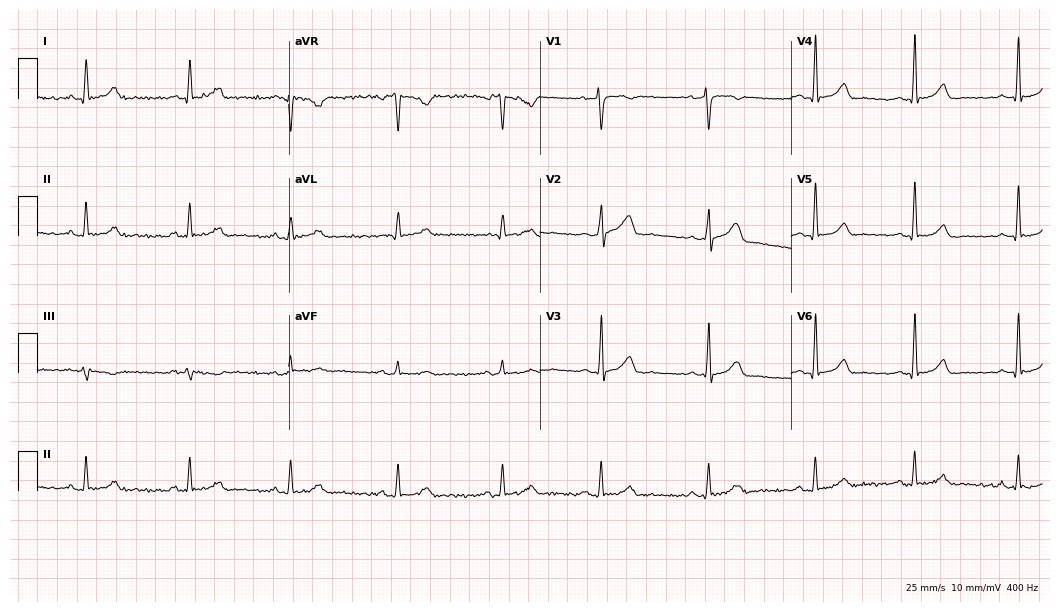
ECG — a female, 35 years old. Labelled as a normal ECG.